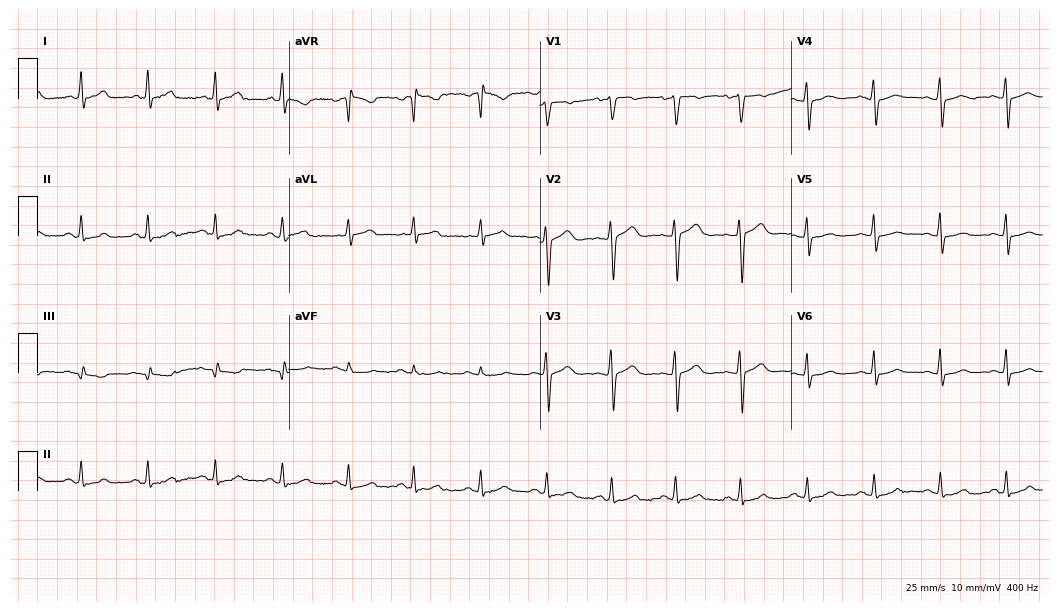
Resting 12-lead electrocardiogram. Patient: a female, 50 years old. Read as a normal ECG.